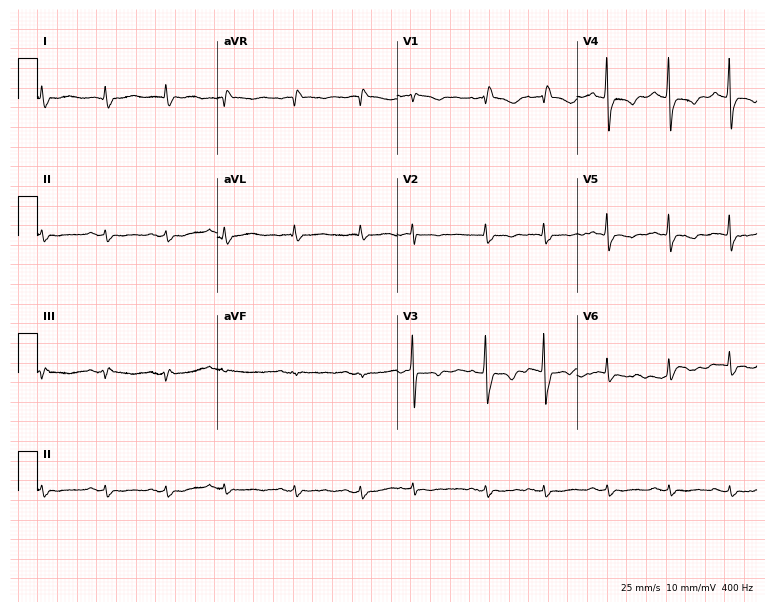
12-lead ECG from a 76-year-old female. Findings include right bundle branch block (RBBB).